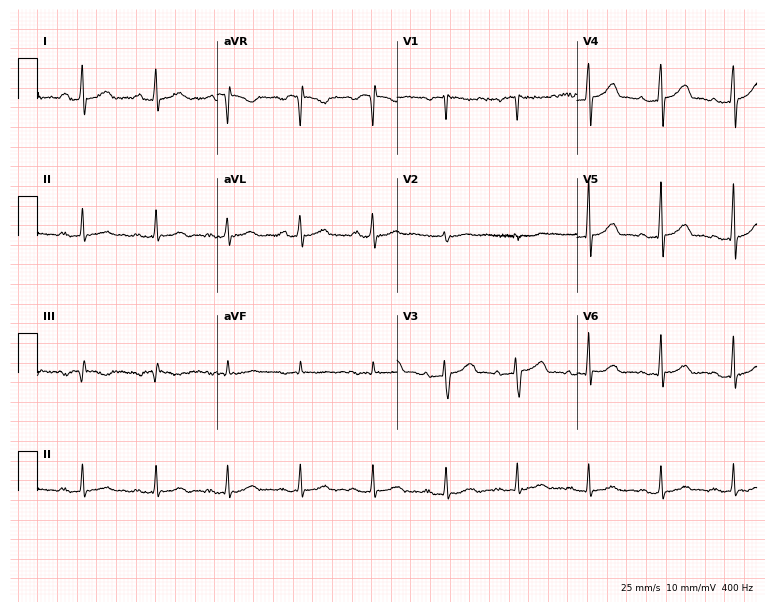
ECG (7.3-second recording at 400 Hz) — a 33-year-old female. Labelled as a normal ECG.